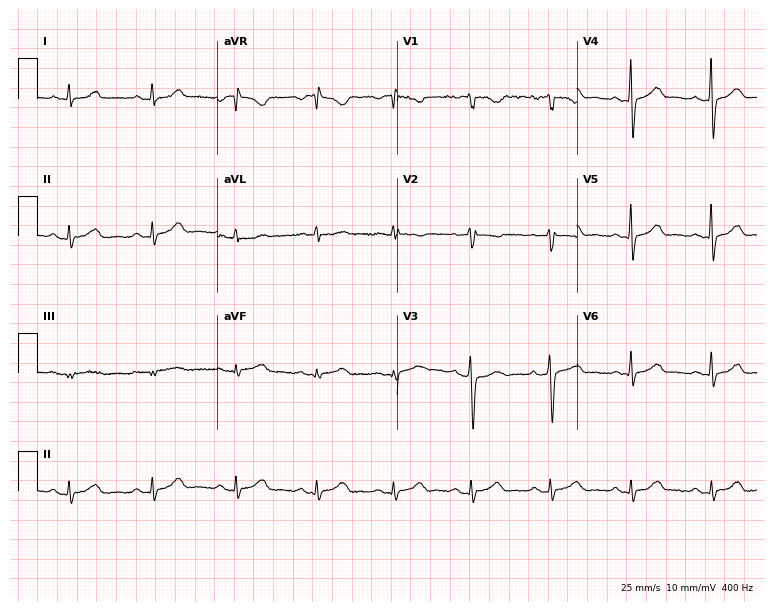
ECG — a female, 37 years old. Screened for six findings — first-degree AV block, right bundle branch block (RBBB), left bundle branch block (LBBB), sinus bradycardia, atrial fibrillation (AF), sinus tachycardia — none is recorded.